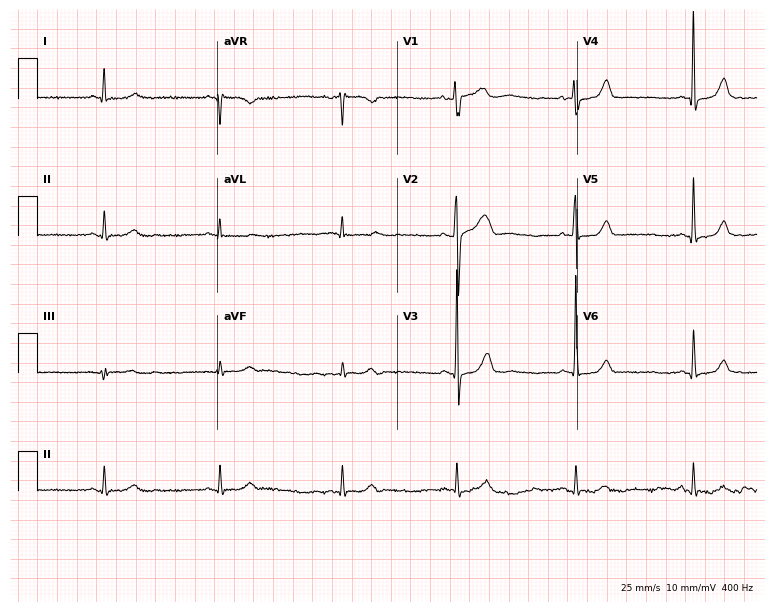
ECG — a man, 46 years old. Screened for six findings — first-degree AV block, right bundle branch block, left bundle branch block, sinus bradycardia, atrial fibrillation, sinus tachycardia — none is recorded.